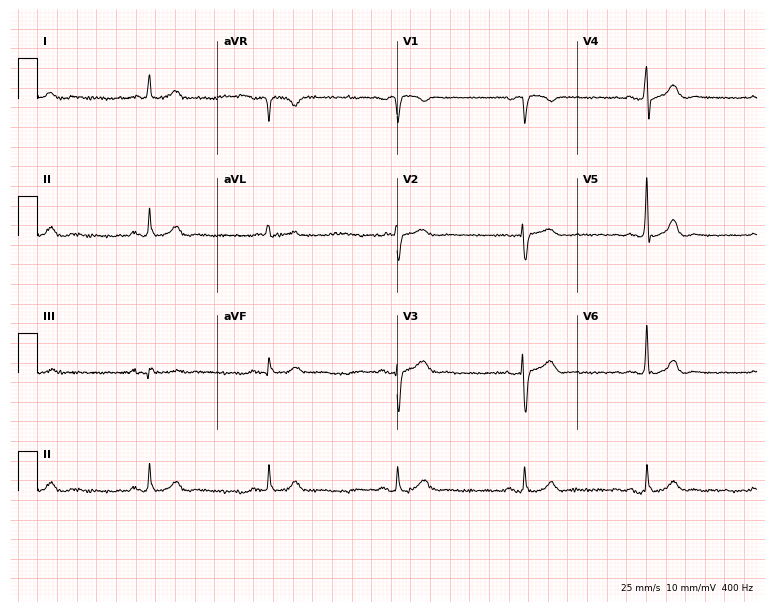
ECG — a 67-year-old man. Labelled as a normal ECG.